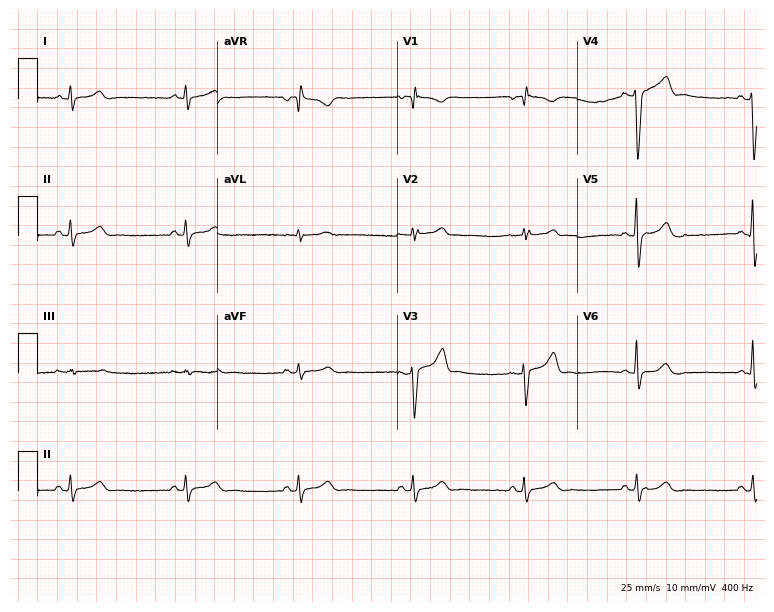
12-lead ECG (7.3-second recording at 400 Hz) from a 50-year-old man. Screened for six findings — first-degree AV block, right bundle branch block, left bundle branch block, sinus bradycardia, atrial fibrillation, sinus tachycardia — none is recorded.